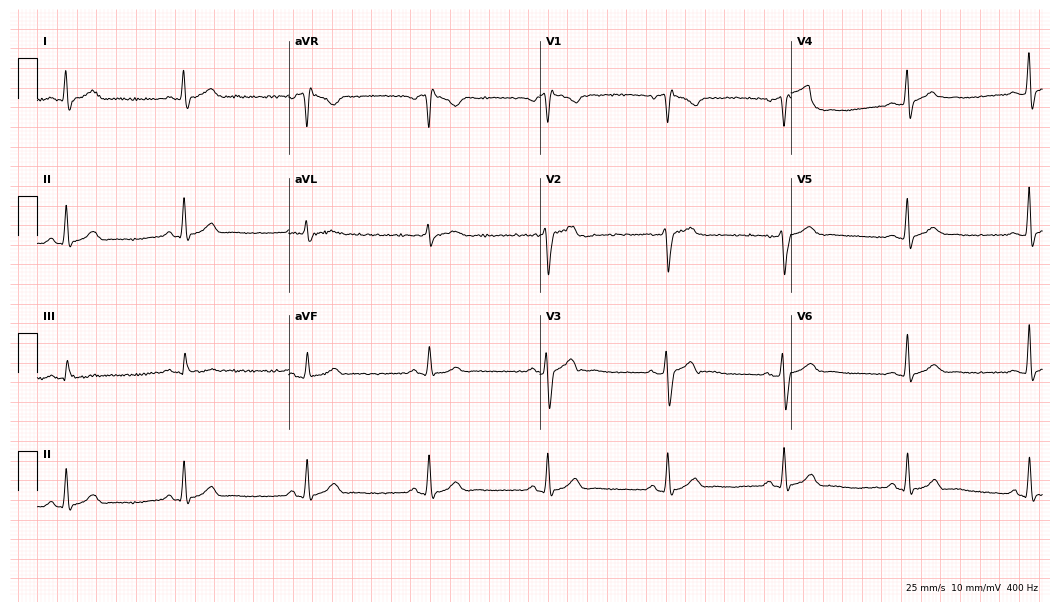
Standard 12-lead ECG recorded from a male patient, 29 years old. None of these six findings is recorded: first-degree AV block, right bundle branch block (RBBB), left bundle branch block (LBBB), sinus bradycardia, atrial fibrillation (AF), sinus tachycardia.